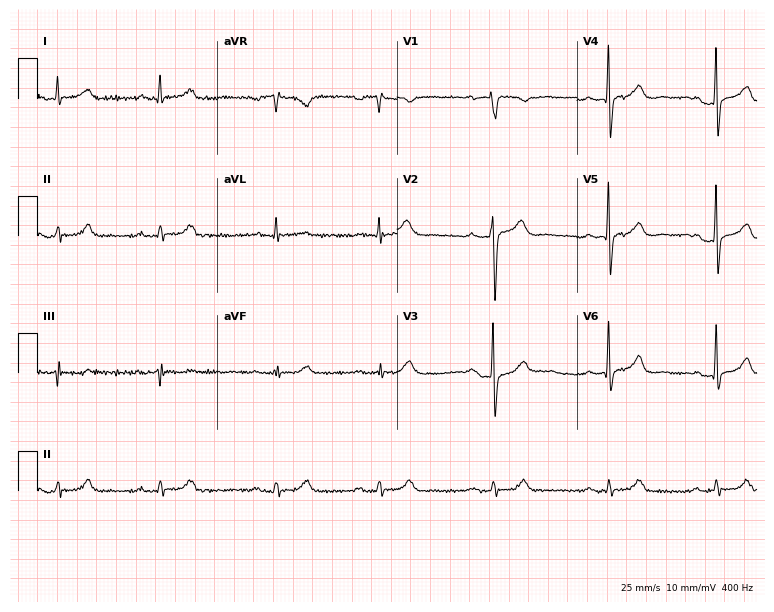
ECG — a male patient, 54 years old. Findings include first-degree AV block.